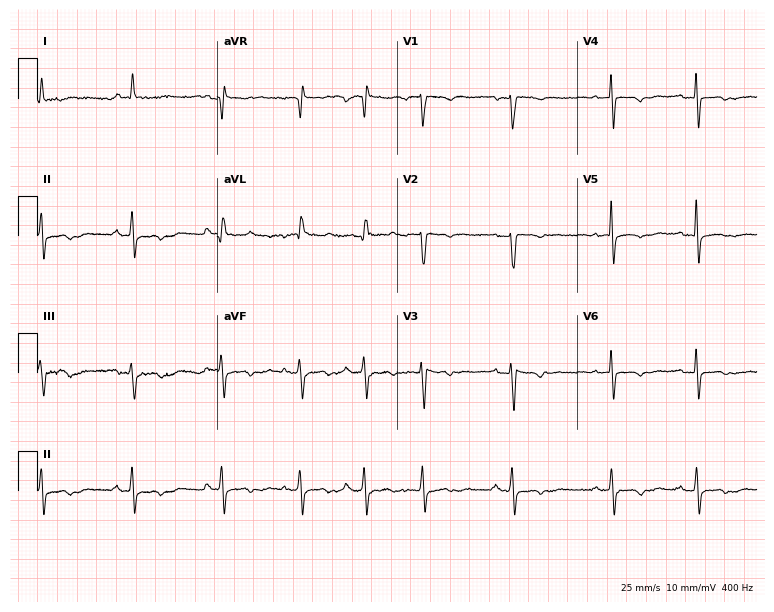
12-lead ECG from a female, 82 years old. Labelled as a normal ECG.